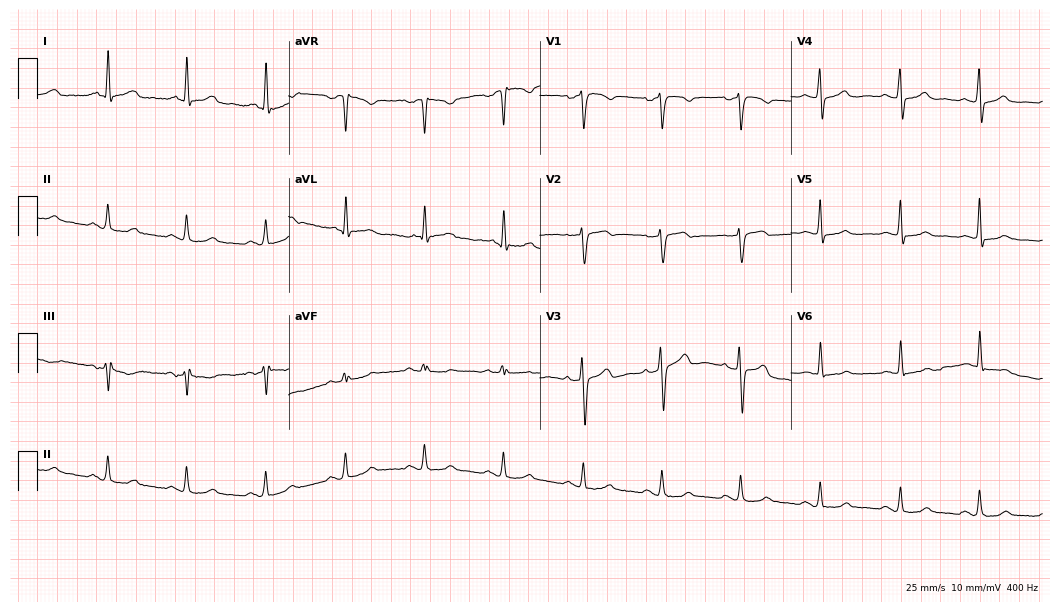
Electrocardiogram (10.2-second recording at 400 Hz), a 62-year-old woman. Overall reading on record: normal ECG.